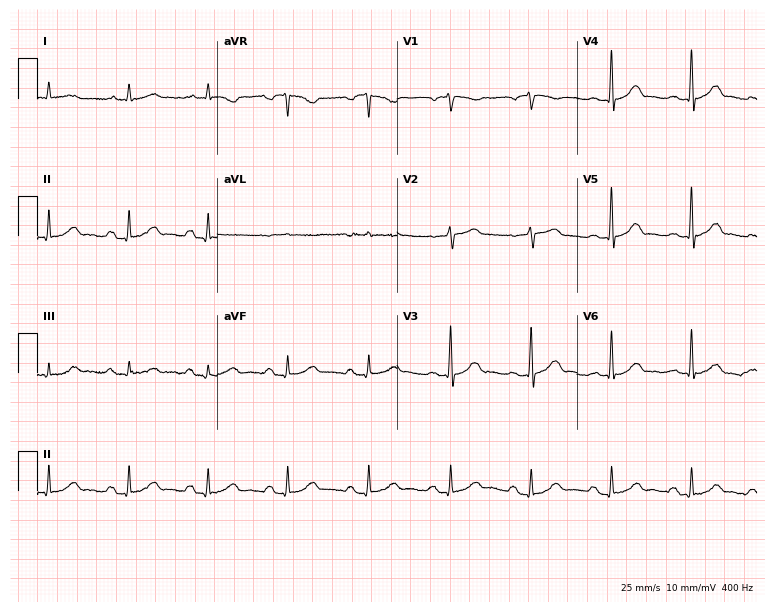
ECG (7.3-second recording at 400 Hz) — a 64-year-old man. Screened for six findings — first-degree AV block, right bundle branch block (RBBB), left bundle branch block (LBBB), sinus bradycardia, atrial fibrillation (AF), sinus tachycardia — none is recorded. Other findings, if any, are not listed.